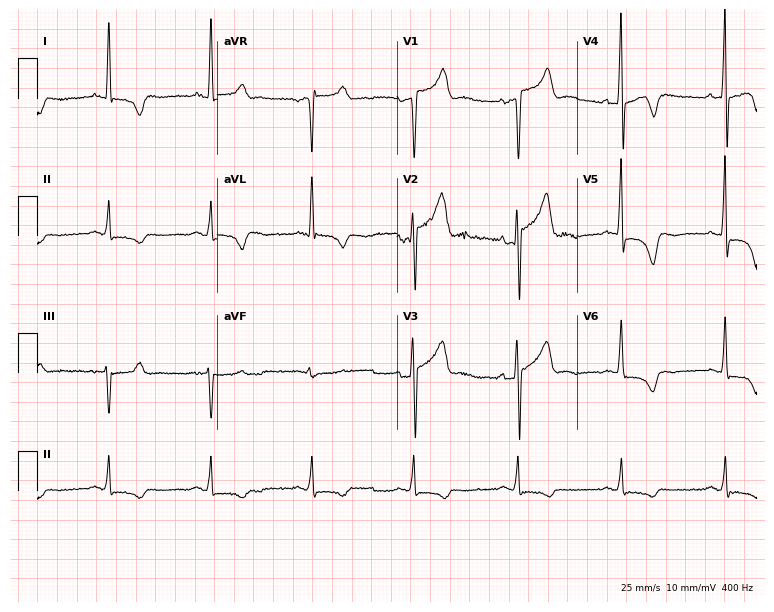
Resting 12-lead electrocardiogram (7.3-second recording at 400 Hz). Patient: a male, 58 years old. None of these six findings is recorded: first-degree AV block, right bundle branch block (RBBB), left bundle branch block (LBBB), sinus bradycardia, atrial fibrillation (AF), sinus tachycardia. Findings outside these six are not listed.